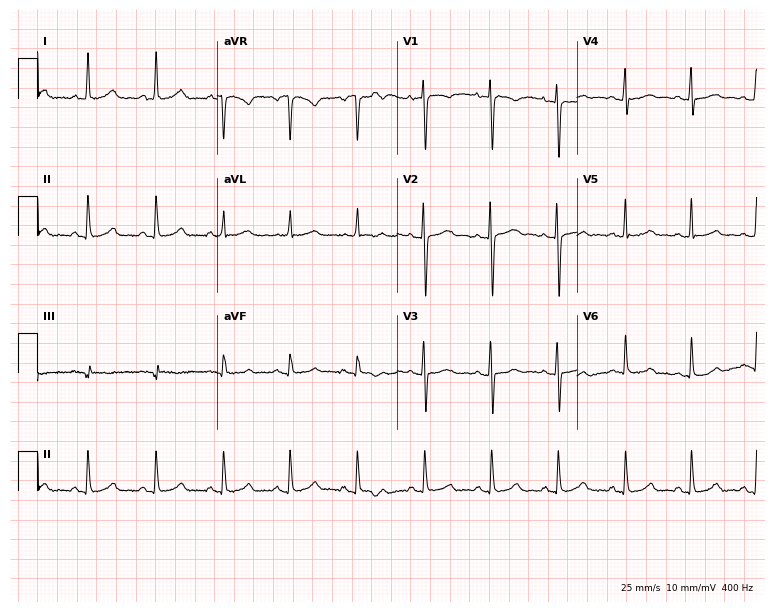
12-lead ECG from a 28-year-old woman. Labelled as a normal ECG.